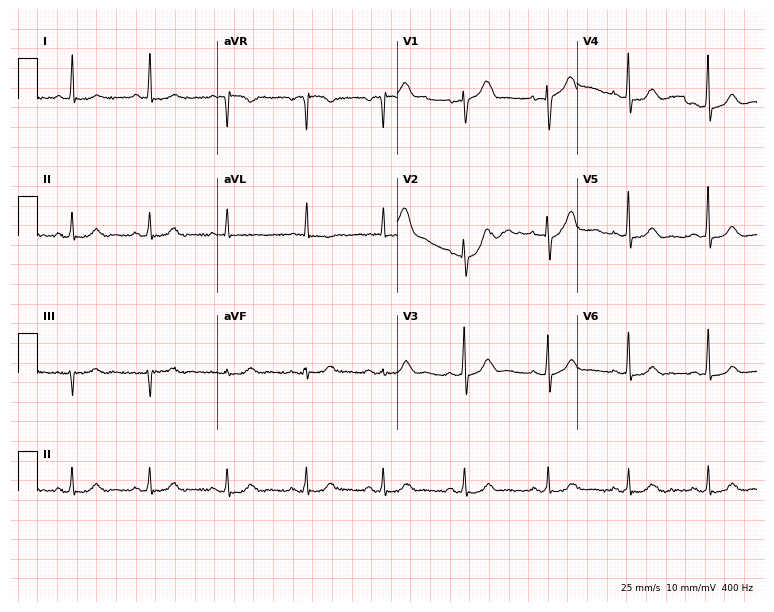
Electrocardiogram (7.3-second recording at 400 Hz), a 79-year-old female patient. Of the six screened findings (first-degree AV block, right bundle branch block (RBBB), left bundle branch block (LBBB), sinus bradycardia, atrial fibrillation (AF), sinus tachycardia), none is recorded. Only these six findings were labelled.